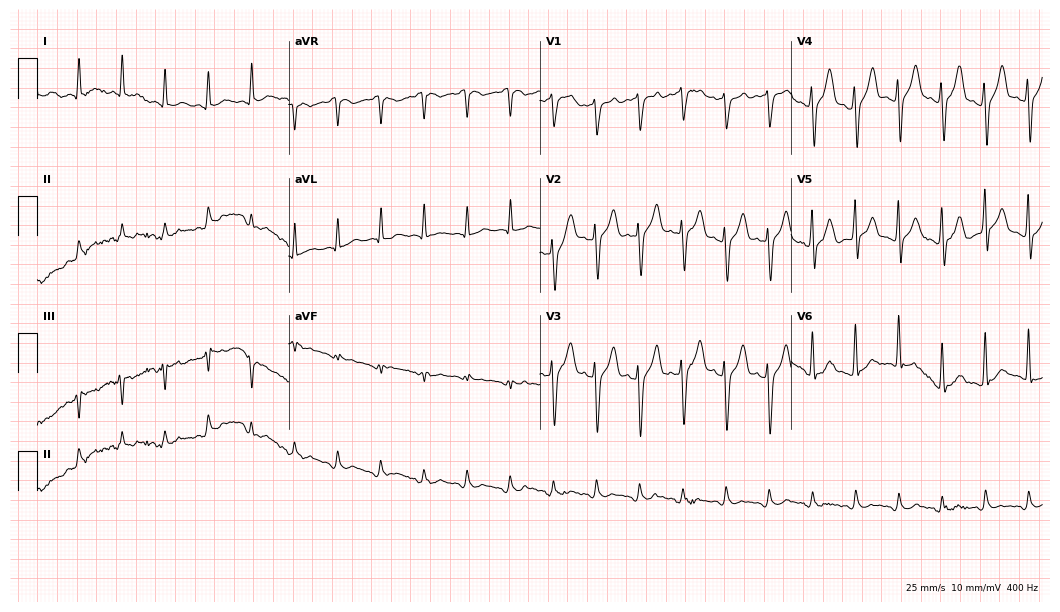
Standard 12-lead ECG recorded from a man, 55 years old (10.2-second recording at 400 Hz). The tracing shows sinus tachycardia (a sinus rate of 100 beats per minute or more).